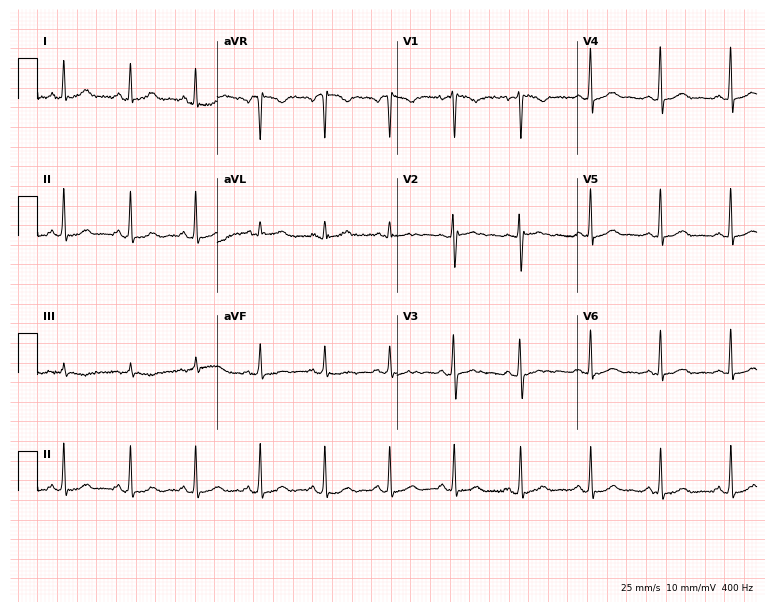
Resting 12-lead electrocardiogram. Patient: a 22-year-old female. None of these six findings is recorded: first-degree AV block, right bundle branch block (RBBB), left bundle branch block (LBBB), sinus bradycardia, atrial fibrillation (AF), sinus tachycardia.